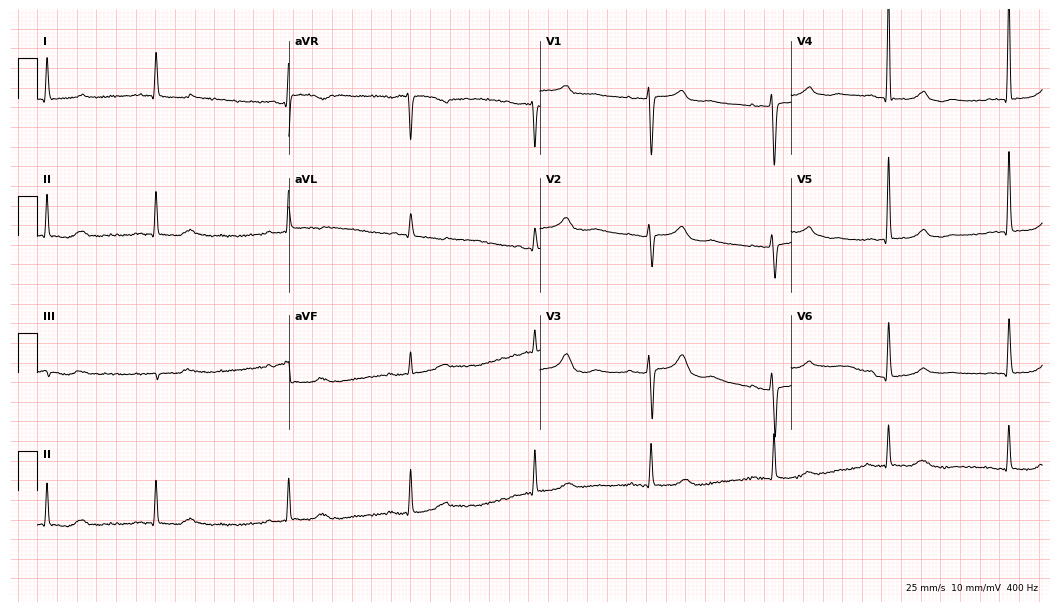
12-lead ECG from a woman, 80 years old. Shows sinus bradycardia (a sinus rate of 50 beats per minute or less).